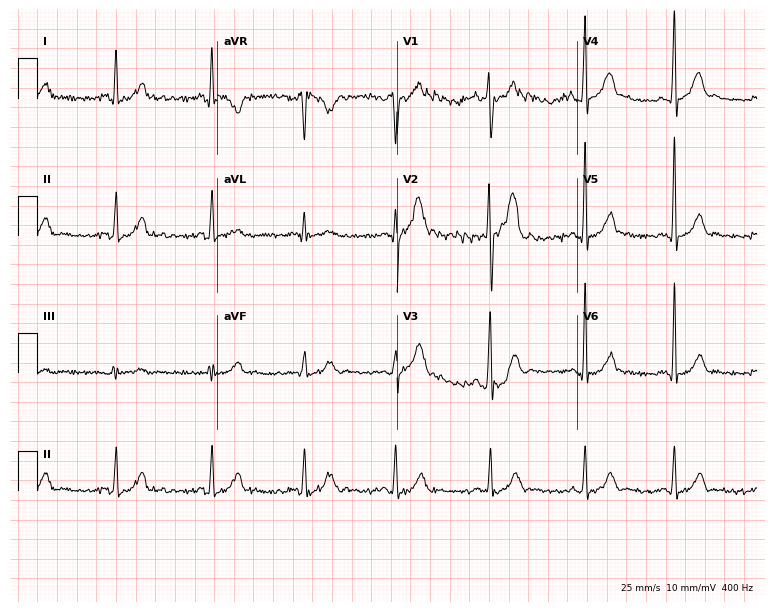
ECG (7.3-second recording at 400 Hz) — a 26-year-old male patient. Labelled as a normal ECG.